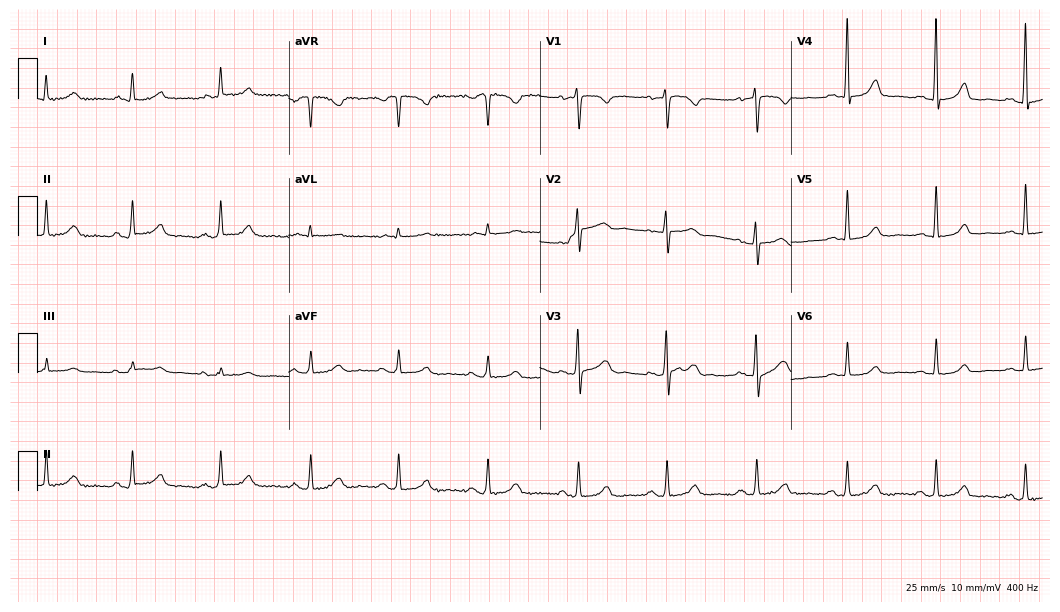
12-lead ECG from a woman, 49 years old. Recorded interpretation: within normal limits.